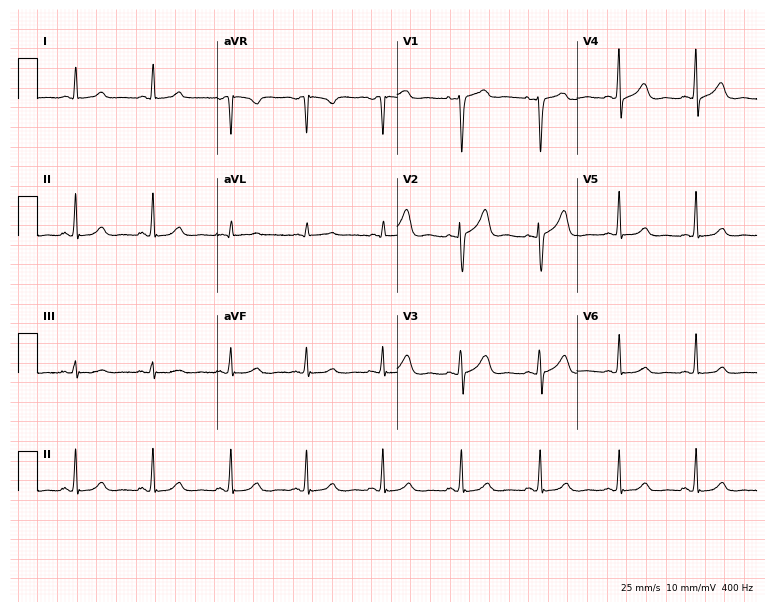
12-lead ECG (7.3-second recording at 400 Hz) from a 45-year-old female. Labelled as a normal ECG.